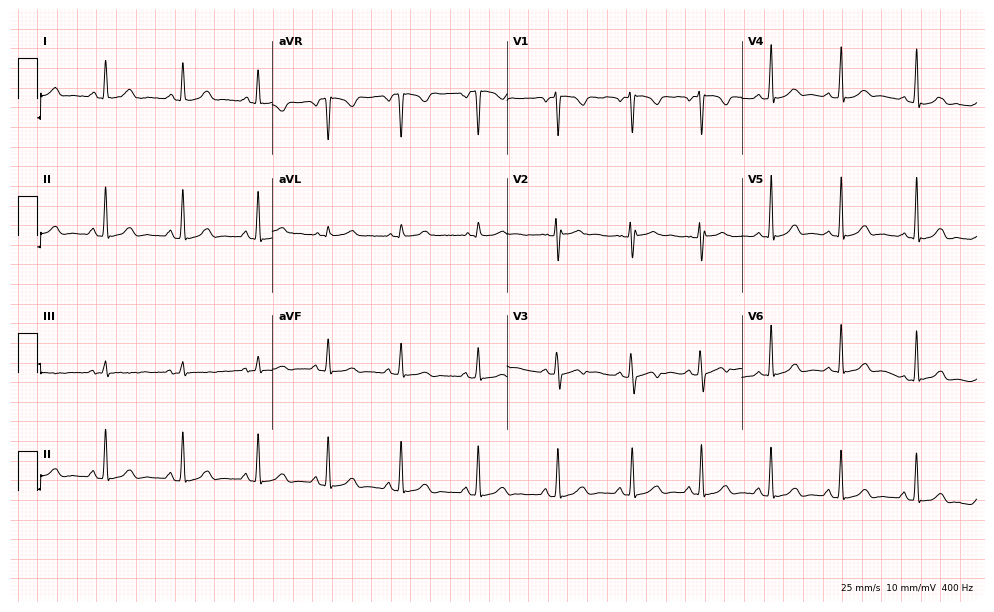
12-lead ECG (9.6-second recording at 400 Hz) from a female, 22 years old. Screened for six findings — first-degree AV block, right bundle branch block, left bundle branch block, sinus bradycardia, atrial fibrillation, sinus tachycardia — none is recorded. Other findings, if any, are not listed.